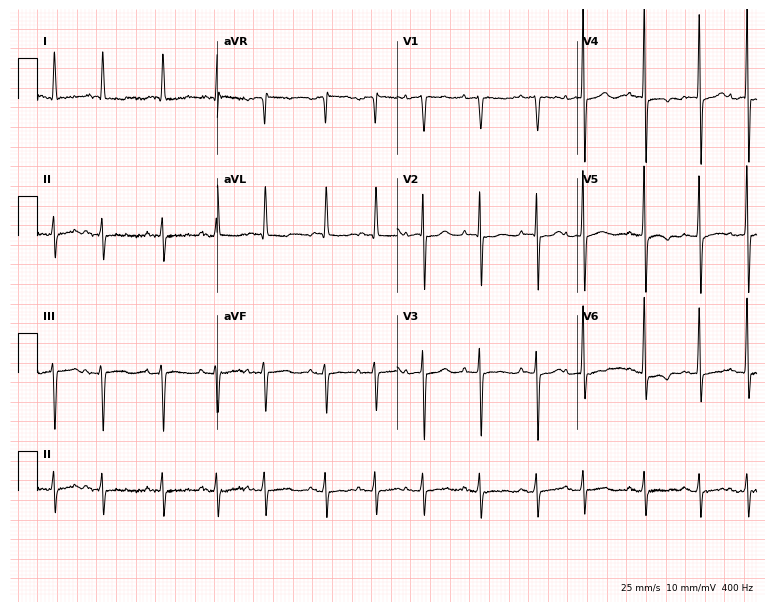
12-lead ECG from an 85-year-old woman. Screened for six findings — first-degree AV block, right bundle branch block, left bundle branch block, sinus bradycardia, atrial fibrillation, sinus tachycardia — none is recorded. Findings outside these six are not listed.